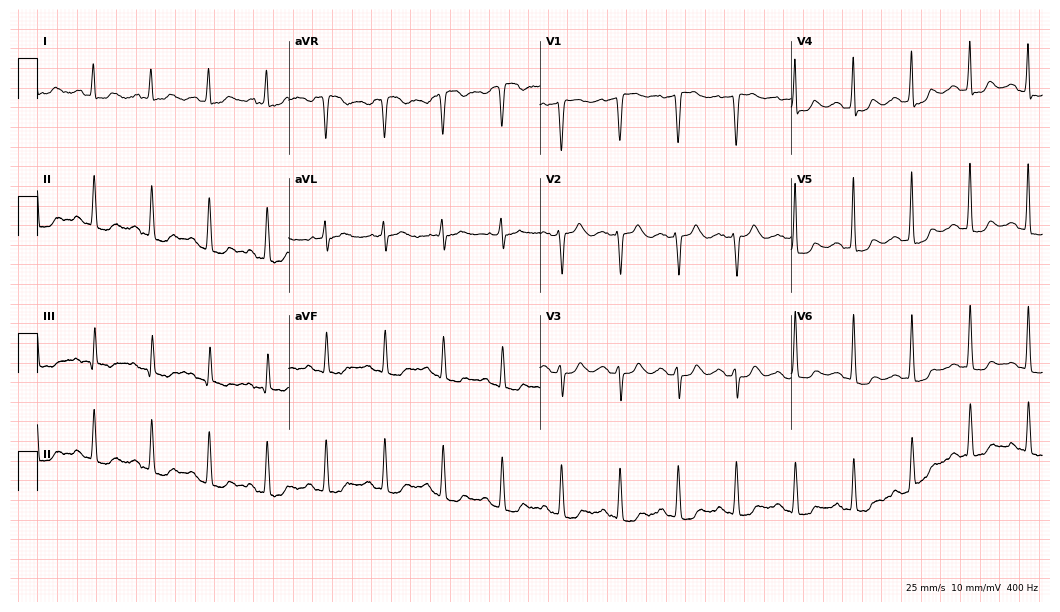
Resting 12-lead electrocardiogram (10.2-second recording at 400 Hz). Patient: a 76-year-old female. None of these six findings is recorded: first-degree AV block, right bundle branch block, left bundle branch block, sinus bradycardia, atrial fibrillation, sinus tachycardia. Findings outside these six are not listed.